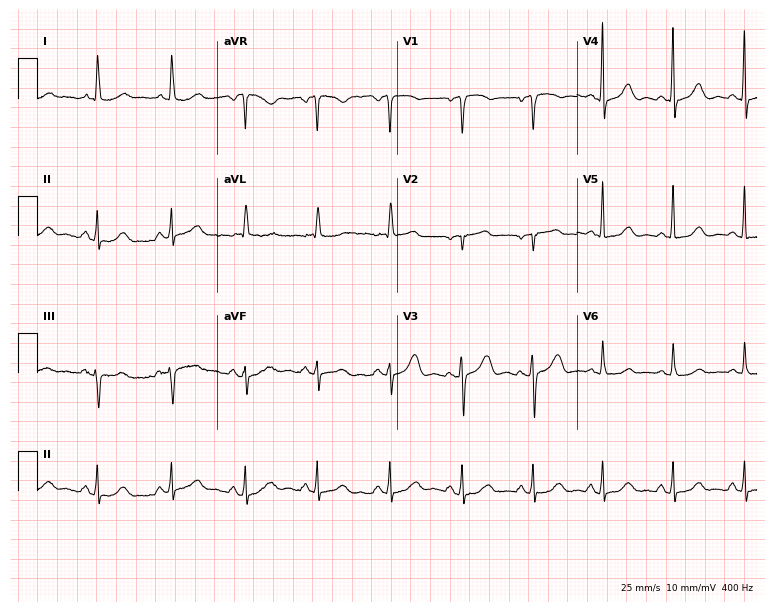
Resting 12-lead electrocardiogram (7.3-second recording at 400 Hz). Patient: a 73-year-old woman. Read as a normal ECG.